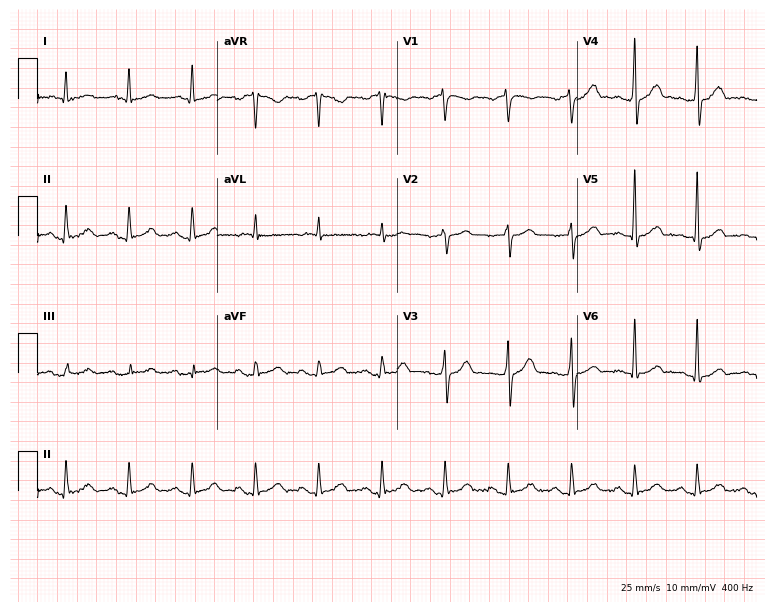
12-lead ECG (7.3-second recording at 400 Hz) from a man, 65 years old. Screened for six findings — first-degree AV block, right bundle branch block, left bundle branch block, sinus bradycardia, atrial fibrillation, sinus tachycardia — none is recorded.